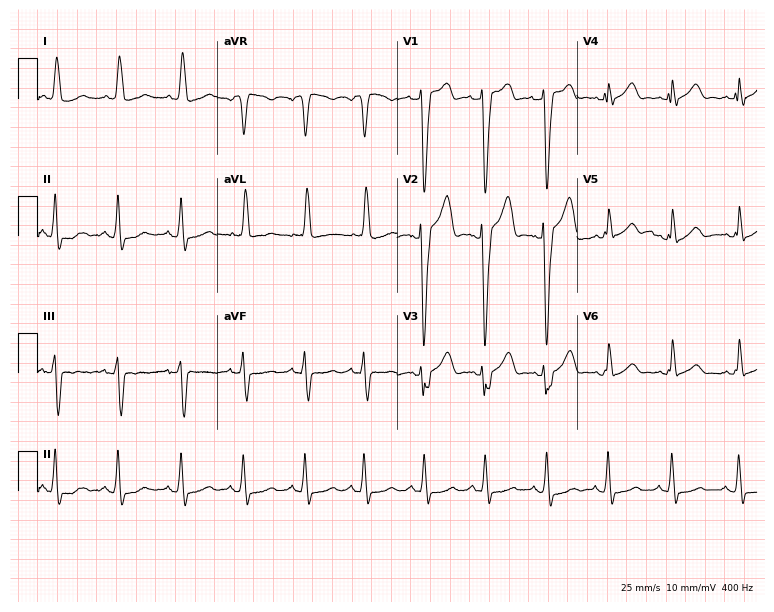
ECG (7.3-second recording at 400 Hz) — a 57-year-old female. Screened for six findings — first-degree AV block, right bundle branch block, left bundle branch block, sinus bradycardia, atrial fibrillation, sinus tachycardia — none is recorded.